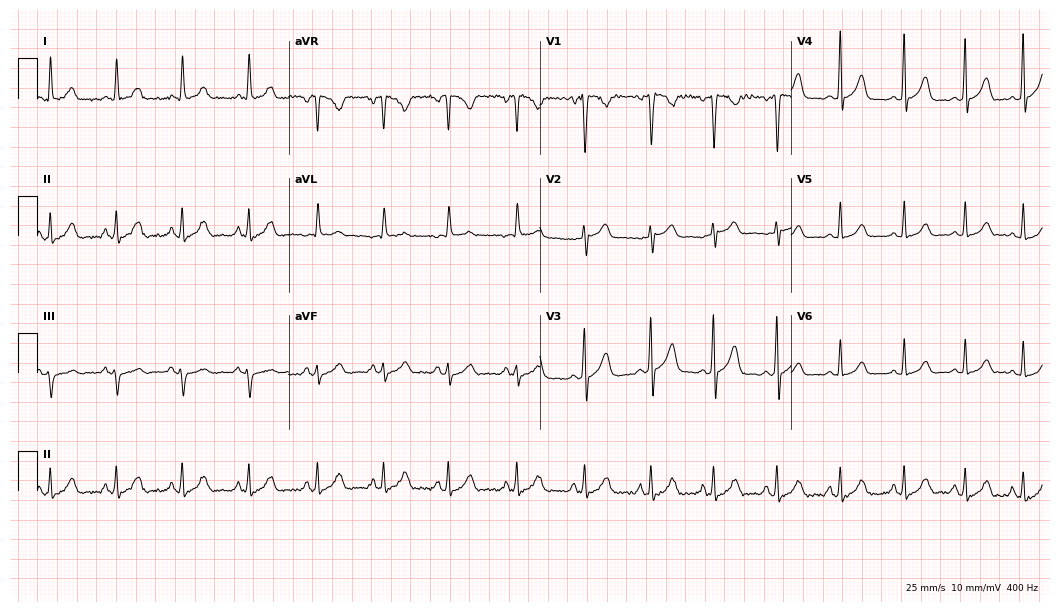
ECG — a 23-year-old female. Labelled as a normal ECG.